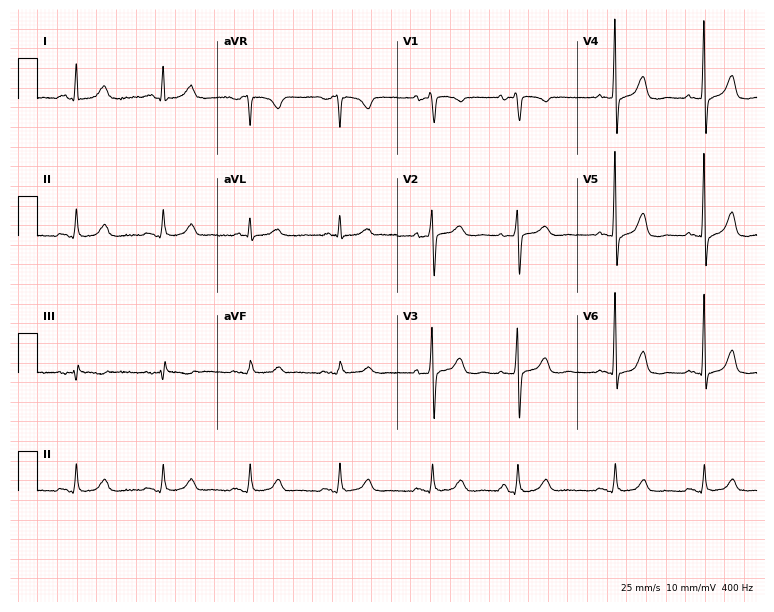
Resting 12-lead electrocardiogram (7.3-second recording at 400 Hz). Patient: a 75-year-old woman. None of these six findings is recorded: first-degree AV block, right bundle branch block (RBBB), left bundle branch block (LBBB), sinus bradycardia, atrial fibrillation (AF), sinus tachycardia.